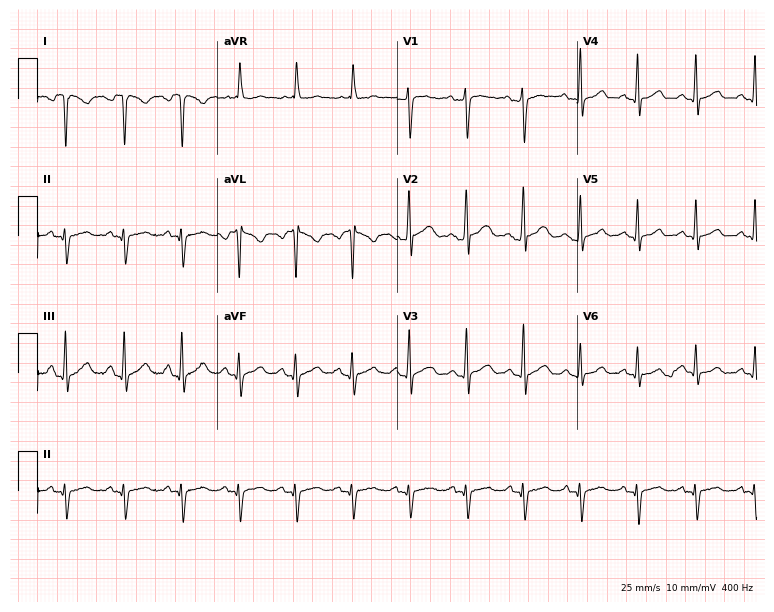
ECG (7.3-second recording at 400 Hz) — a 30-year-old woman. Screened for six findings — first-degree AV block, right bundle branch block (RBBB), left bundle branch block (LBBB), sinus bradycardia, atrial fibrillation (AF), sinus tachycardia — none is recorded.